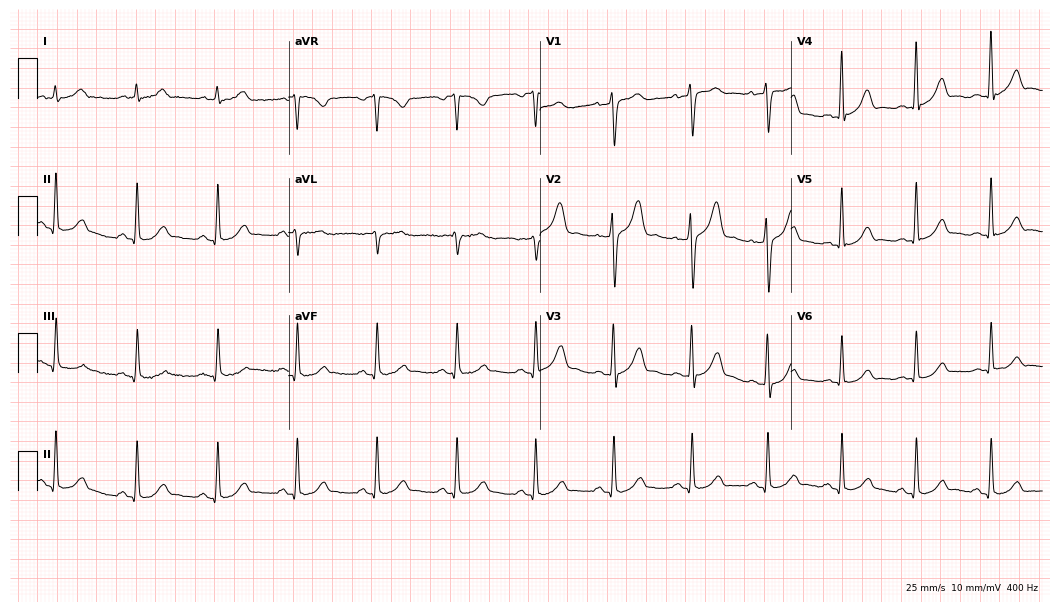
12-lead ECG from a male patient, 53 years old (10.2-second recording at 400 Hz). No first-degree AV block, right bundle branch block, left bundle branch block, sinus bradycardia, atrial fibrillation or sinus tachycardia recorded for this tracing.